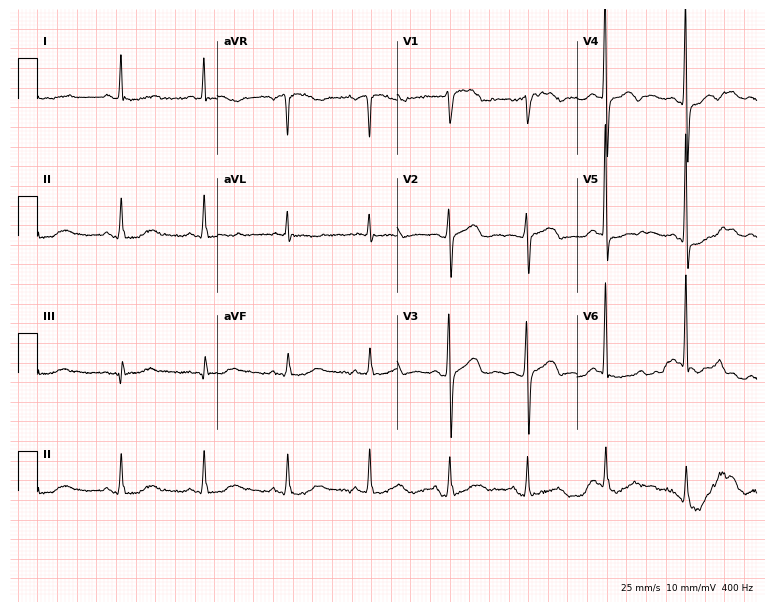
Standard 12-lead ECG recorded from a man, 64 years old (7.3-second recording at 400 Hz). Read as a normal ECG.